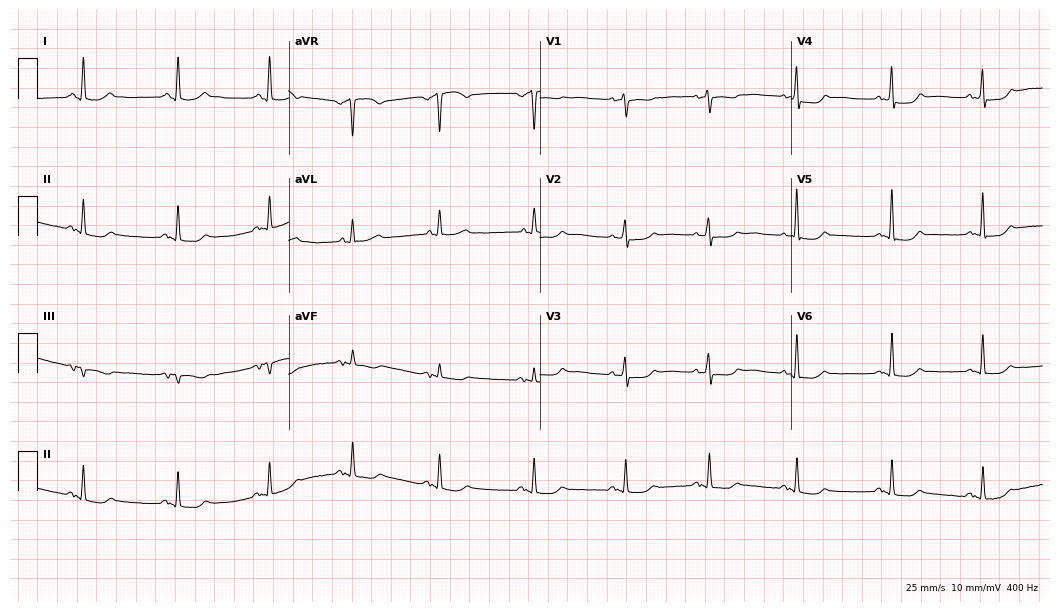
Electrocardiogram (10.2-second recording at 400 Hz), a woman, 77 years old. Of the six screened findings (first-degree AV block, right bundle branch block, left bundle branch block, sinus bradycardia, atrial fibrillation, sinus tachycardia), none is recorded.